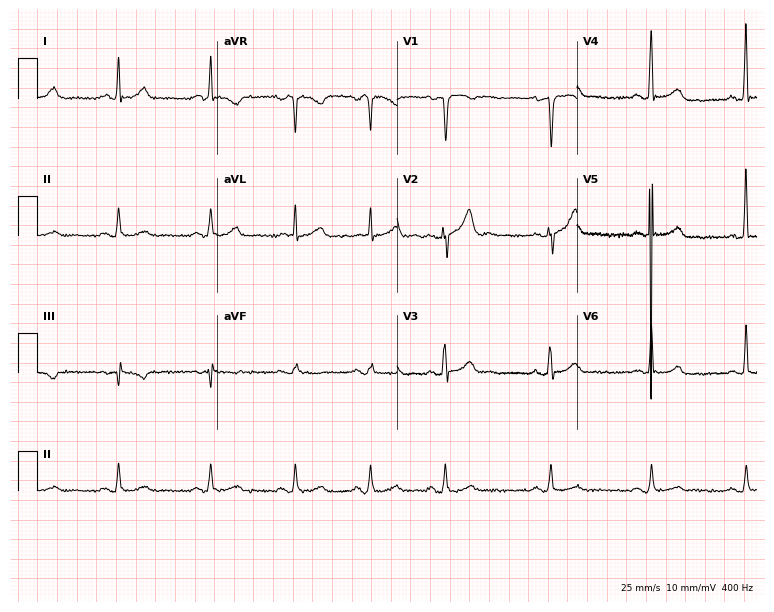
Standard 12-lead ECG recorded from a 44-year-old male patient (7.3-second recording at 400 Hz). Read as a normal ECG.